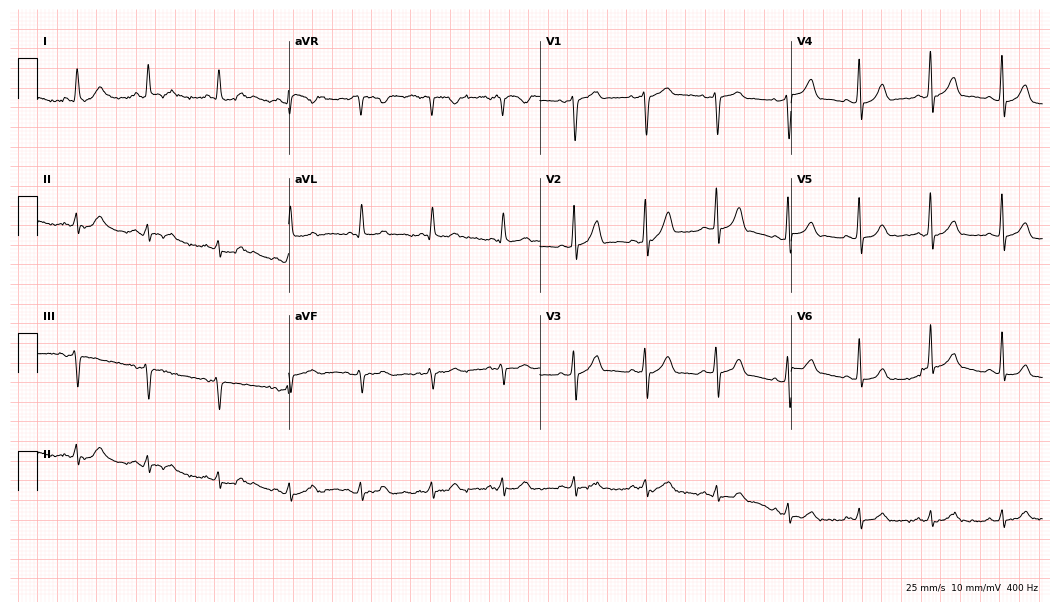
Resting 12-lead electrocardiogram. Patient: a male, 78 years old. Read as a normal ECG.